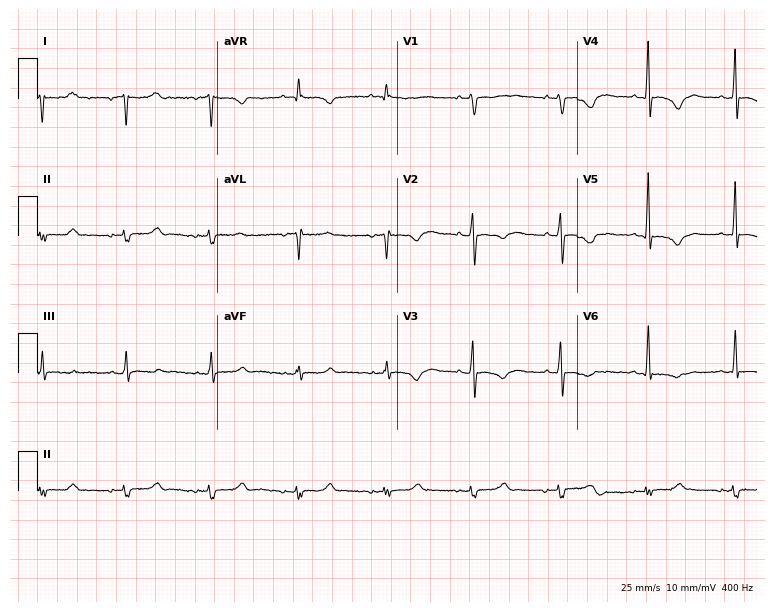
Electrocardiogram, a male patient, 58 years old. Of the six screened findings (first-degree AV block, right bundle branch block, left bundle branch block, sinus bradycardia, atrial fibrillation, sinus tachycardia), none is recorded.